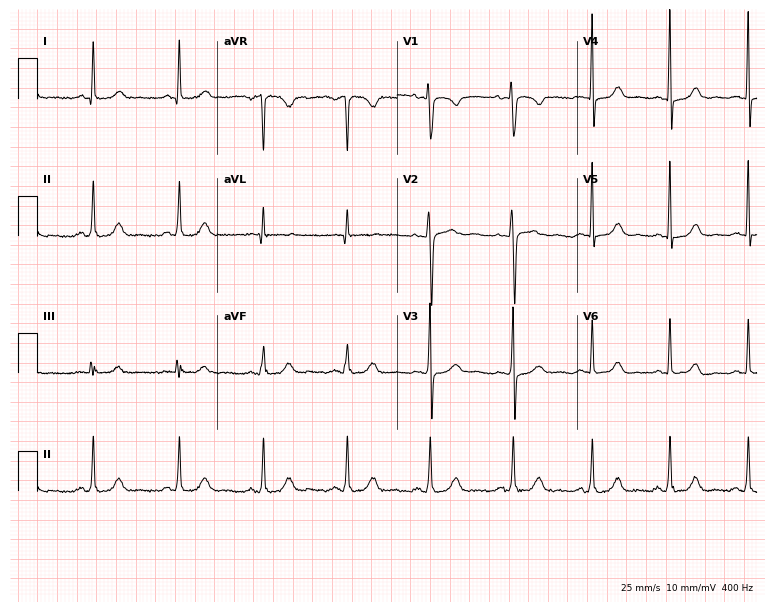
Resting 12-lead electrocardiogram (7.3-second recording at 400 Hz). Patient: a 39-year-old woman. None of these six findings is recorded: first-degree AV block, right bundle branch block (RBBB), left bundle branch block (LBBB), sinus bradycardia, atrial fibrillation (AF), sinus tachycardia.